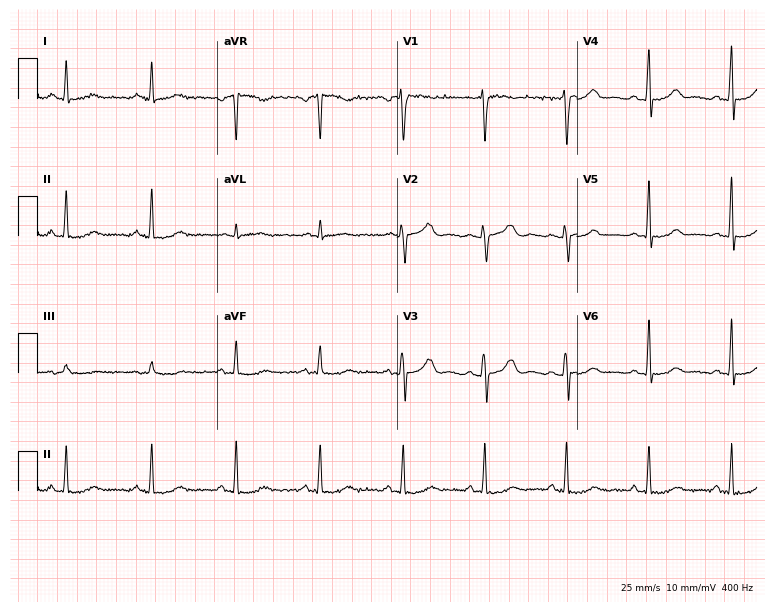
Electrocardiogram (7.3-second recording at 400 Hz), a woman, 46 years old. Overall reading on record: normal ECG.